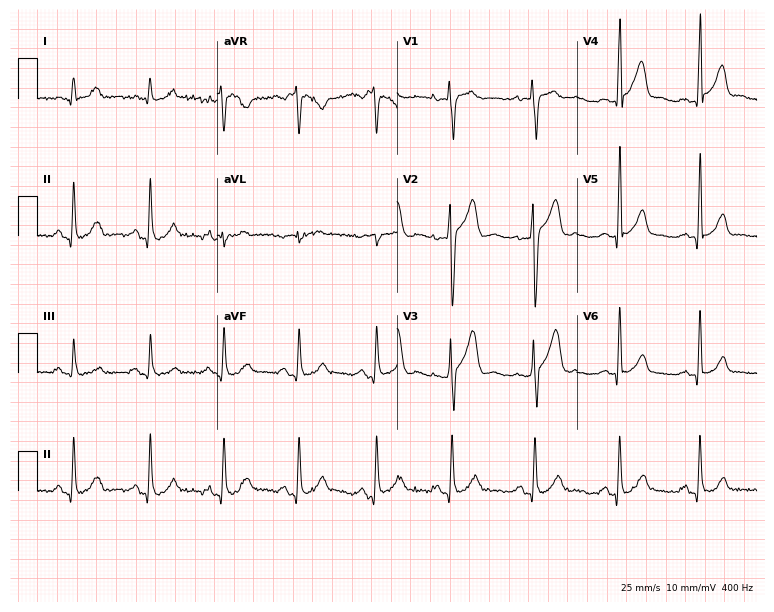
Electrocardiogram (7.3-second recording at 400 Hz), a 17-year-old male. Of the six screened findings (first-degree AV block, right bundle branch block, left bundle branch block, sinus bradycardia, atrial fibrillation, sinus tachycardia), none is recorded. Only these six findings were labelled.